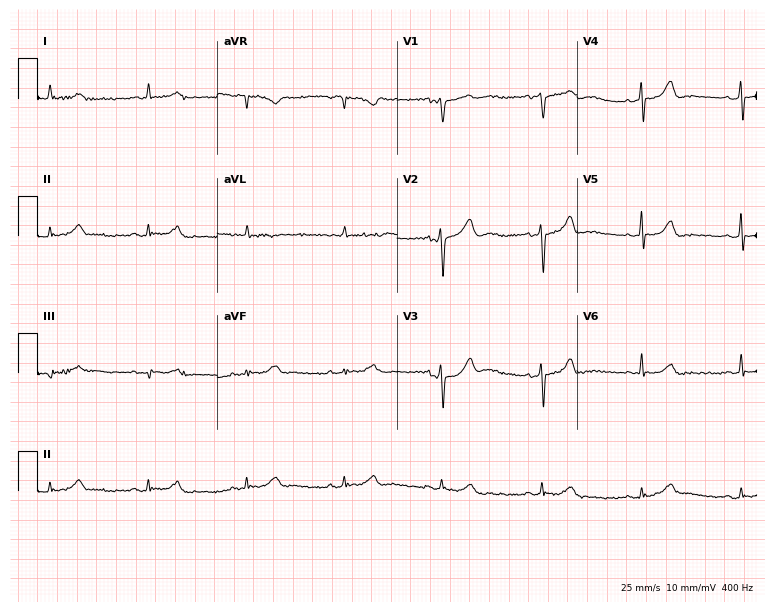
12-lead ECG (7.3-second recording at 400 Hz) from a man, 85 years old. Screened for six findings — first-degree AV block, right bundle branch block, left bundle branch block, sinus bradycardia, atrial fibrillation, sinus tachycardia — none is recorded.